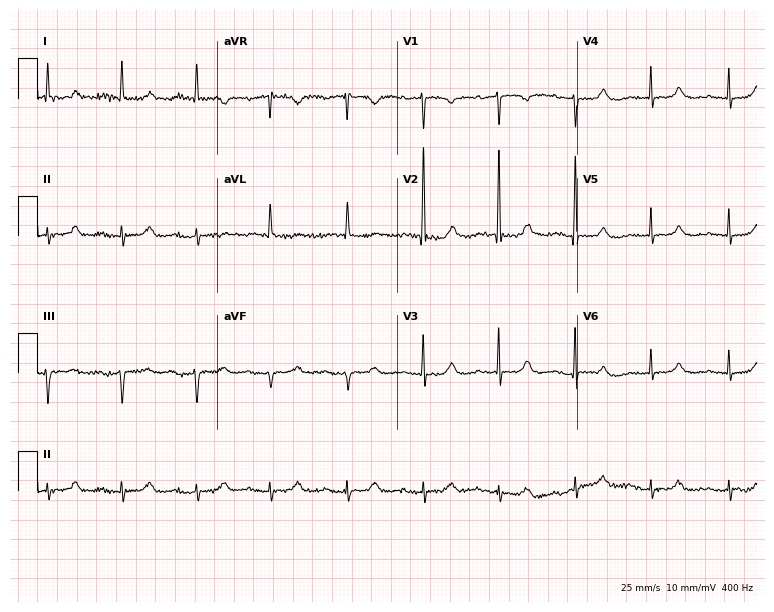
Resting 12-lead electrocardiogram (7.3-second recording at 400 Hz). Patient: a 76-year-old female. The tracing shows first-degree AV block.